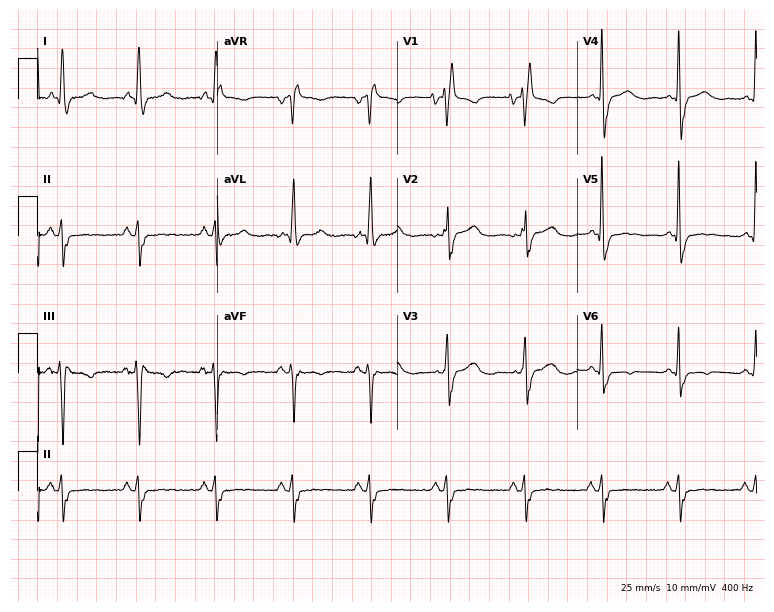
Standard 12-lead ECG recorded from a 57-year-old male (7.3-second recording at 400 Hz). The tracing shows right bundle branch block.